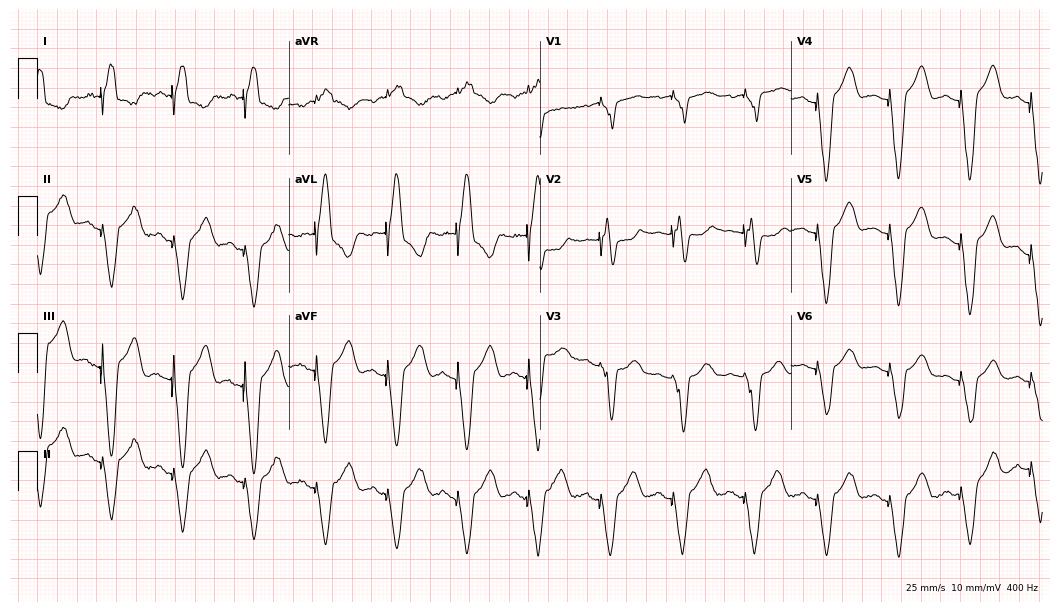
12-lead ECG from a woman, 73 years old. Screened for six findings — first-degree AV block, right bundle branch block (RBBB), left bundle branch block (LBBB), sinus bradycardia, atrial fibrillation (AF), sinus tachycardia — none is recorded. Findings outside these six are not listed.